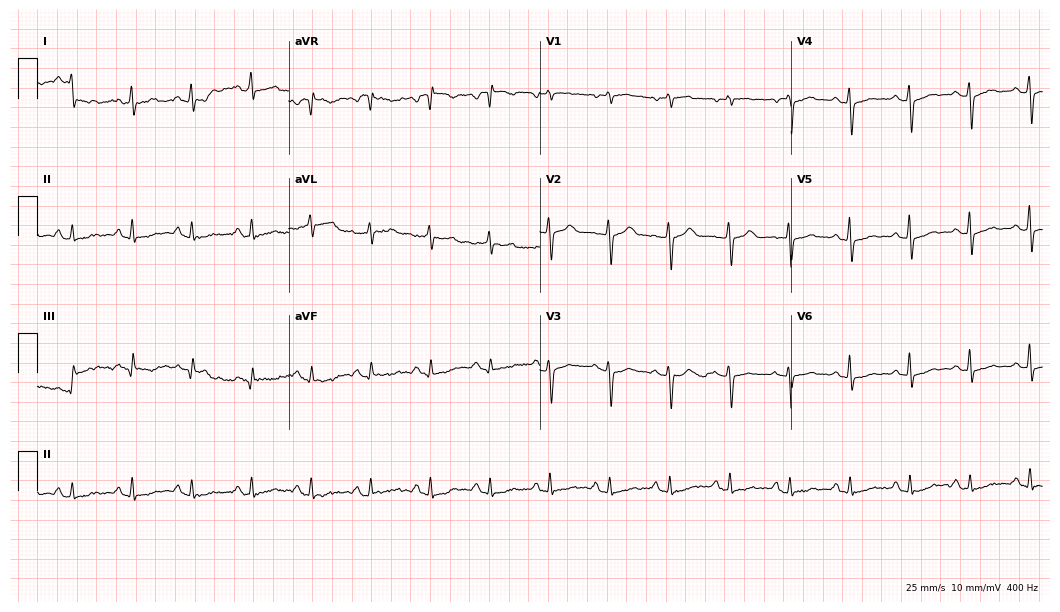
Electrocardiogram, a 61-year-old woman. Overall reading on record: normal ECG.